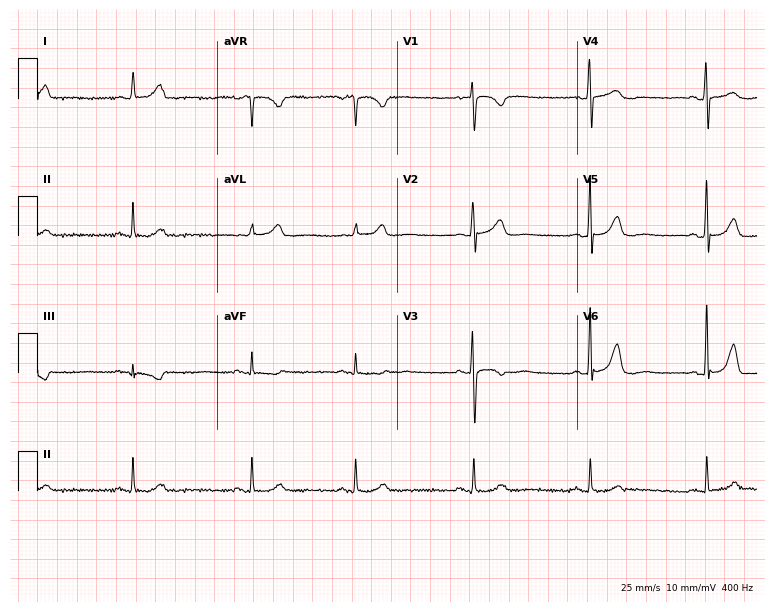
Standard 12-lead ECG recorded from a 69-year-old female patient. None of these six findings is recorded: first-degree AV block, right bundle branch block (RBBB), left bundle branch block (LBBB), sinus bradycardia, atrial fibrillation (AF), sinus tachycardia. Other findings, if any, are not listed.